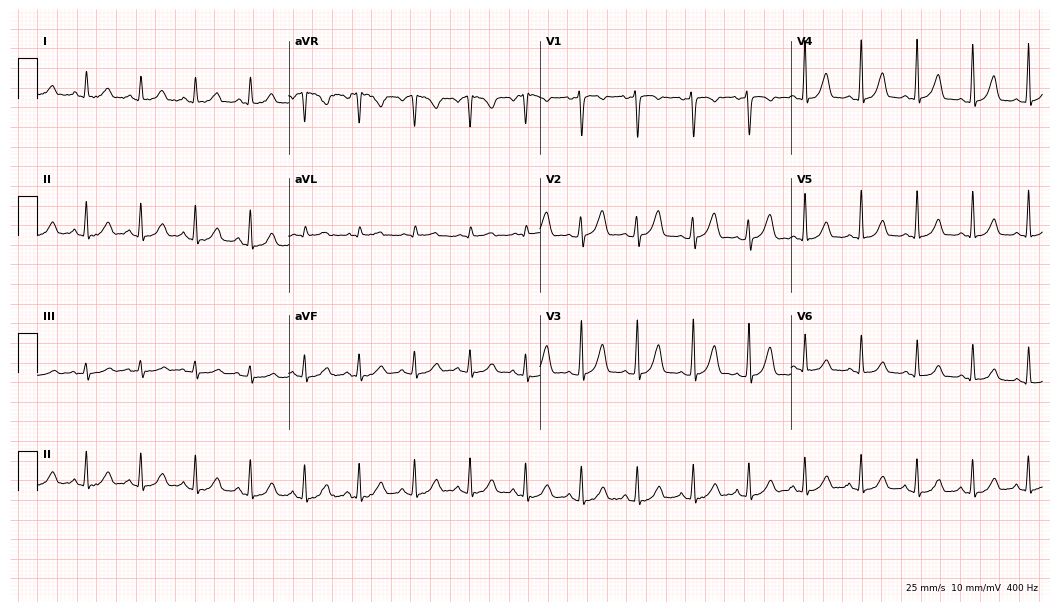
Standard 12-lead ECG recorded from a female, 39 years old. The tracing shows sinus tachycardia (a sinus rate of 100 beats per minute or more).